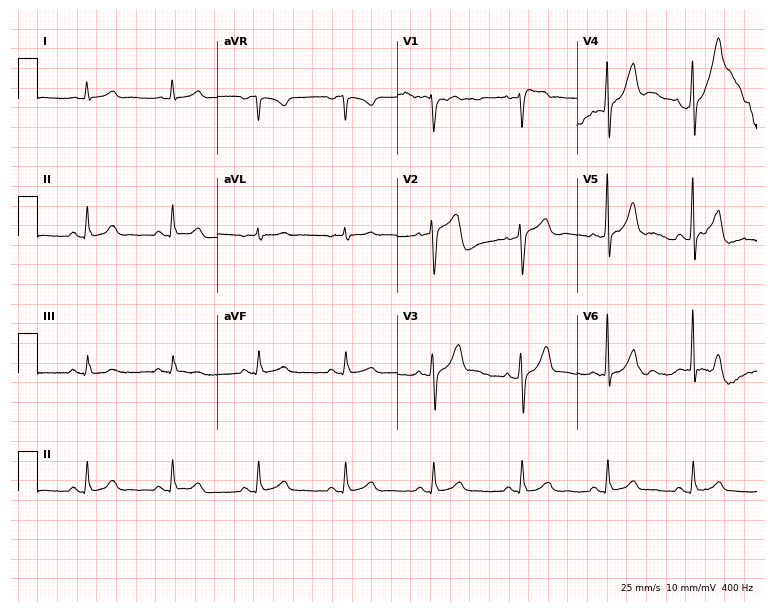
12-lead ECG from a 65-year-old man. No first-degree AV block, right bundle branch block, left bundle branch block, sinus bradycardia, atrial fibrillation or sinus tachycardia recorded for this tracing.